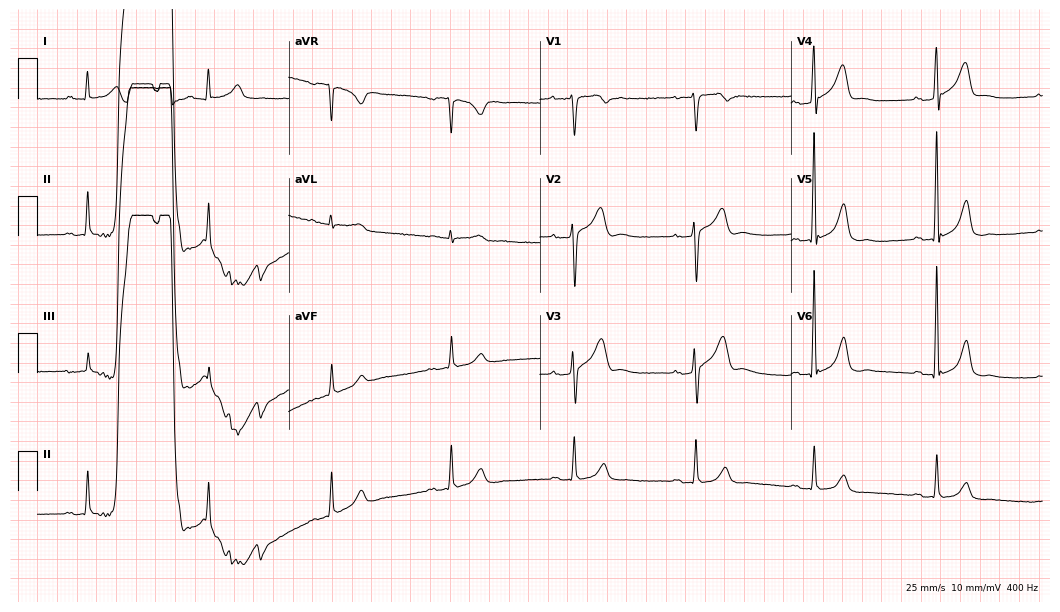
12-lead ECG from a male, 52 years old (10.2-second recording at 400 Hz). Shows sinus bradycardia (a sinus rate of 50 beats per minute or less).